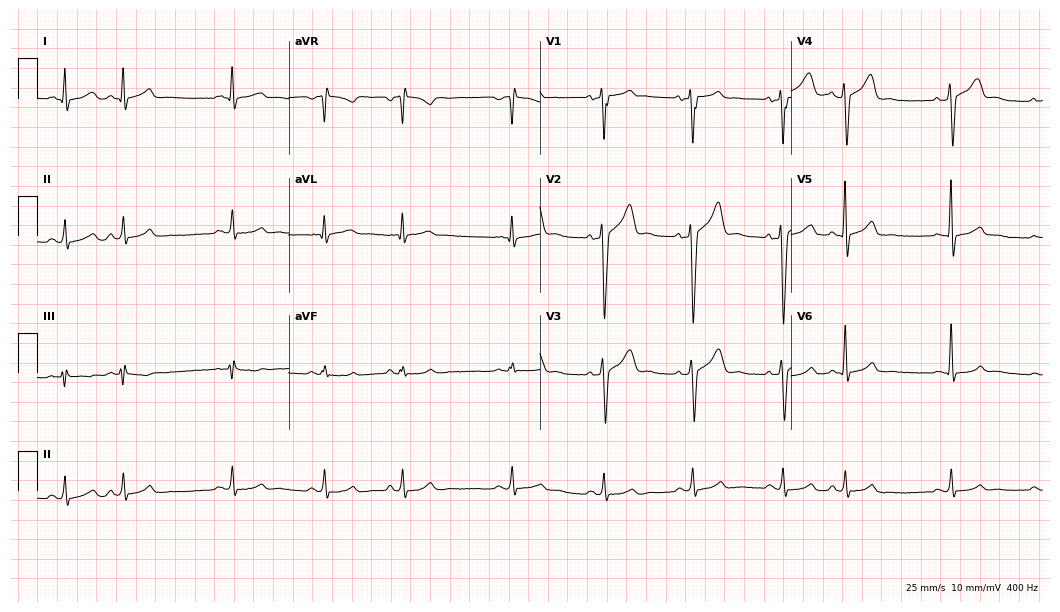
12-lead ECG (10.2-second recording at 400 Hz) from a 41-year-old female. Screened for six findings — first-degree AV block, right bundle branch block, left bundle branch block, sinus bradycardia, atrial fibrillation, sinus tachycardia — none is recorded.